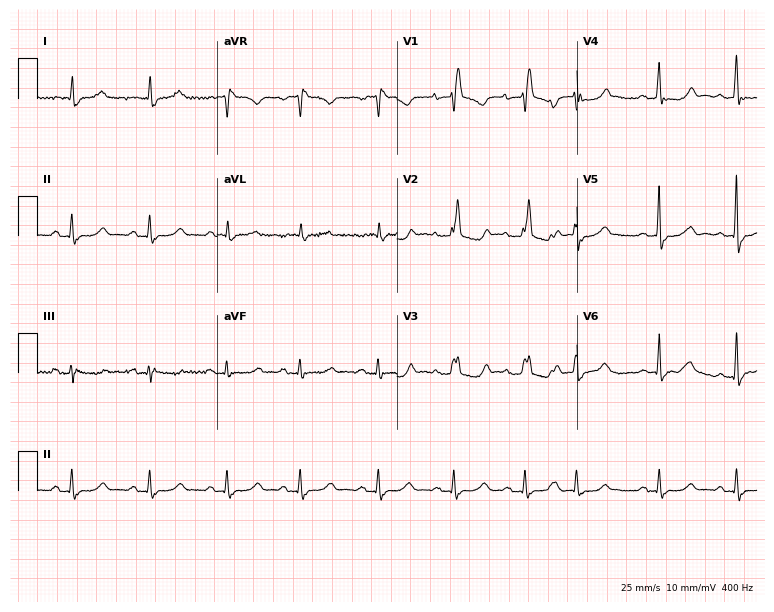
ECG — a 71-year-old female. Findings include right bundle branch block (RBBB).